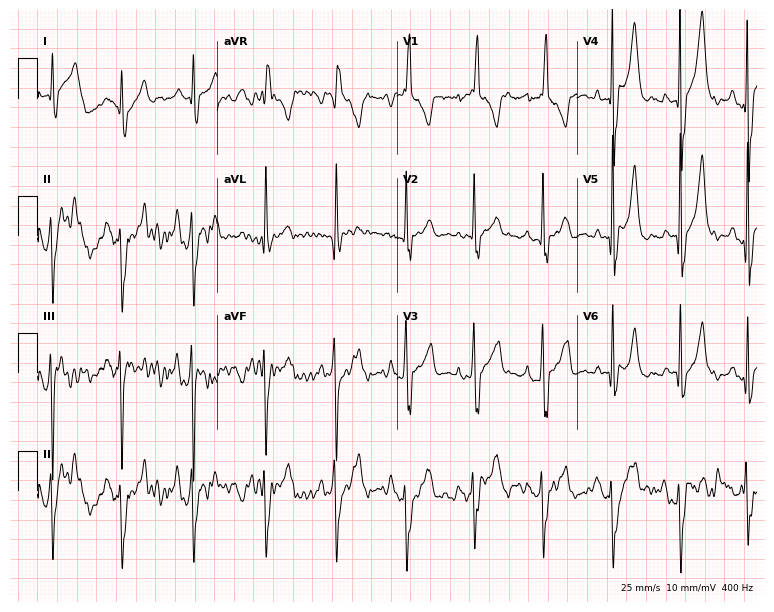
Resting 12-lead electrocardiogram. Patient: a male, 25 years old. Read as a normal ECG.